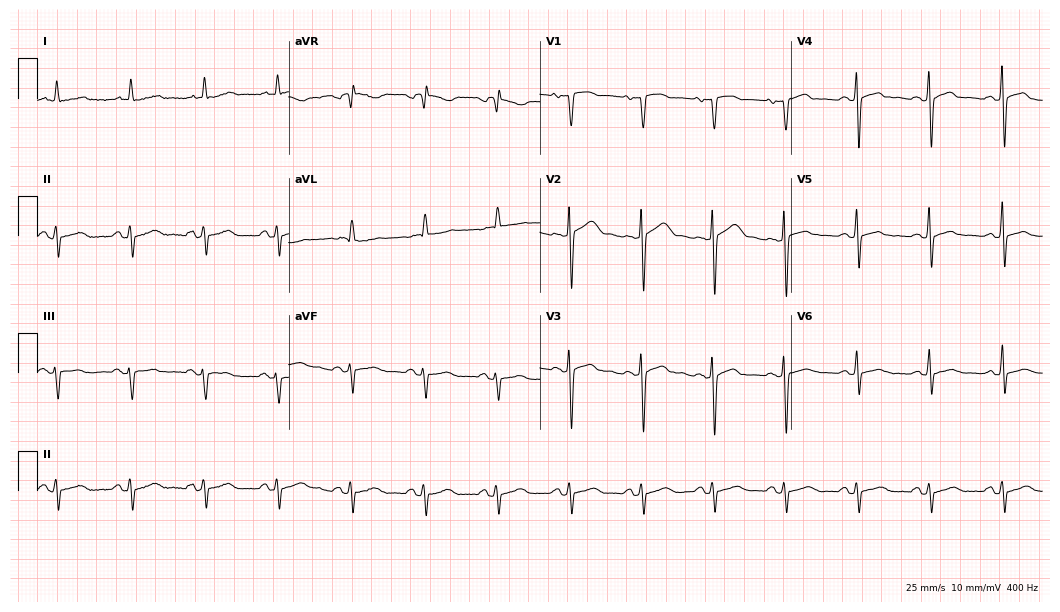
Resting 12-lead electrocardiogram. Patient: a 72-year-old female. None of these six findings is recorded: first-degree AV block, right bundle branch block, left bundle branch block, sinus bradycardia, atrial fibrillation, sinus tachycardia. Other findings, if any, are not listed.